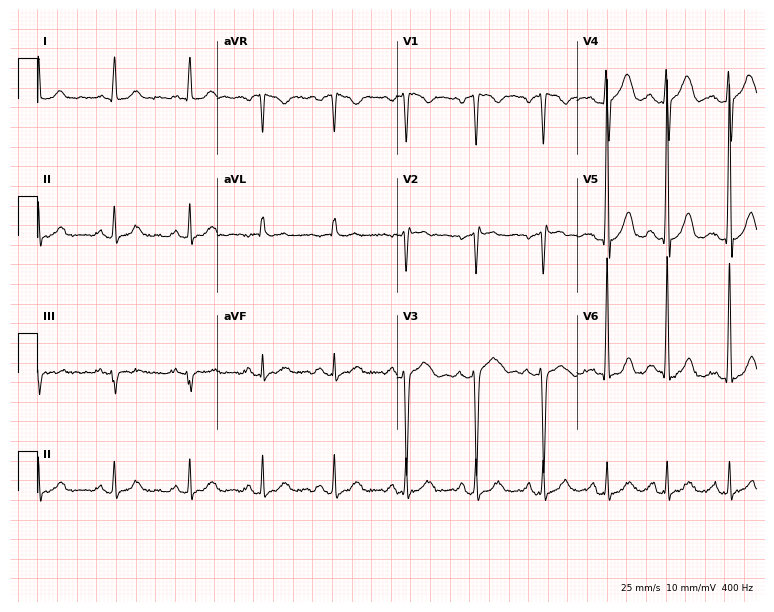
Standard 12-lead ECG recorded from a 31-year-old male patient. None of these six findings is recorded: first-degree AV block, right bundle branch block (RBBB), left bundle branch block (LBBB), sinus bradycardia, atrial fibrillation (AF), sinus tachycardia. Only these six findings were labelled.